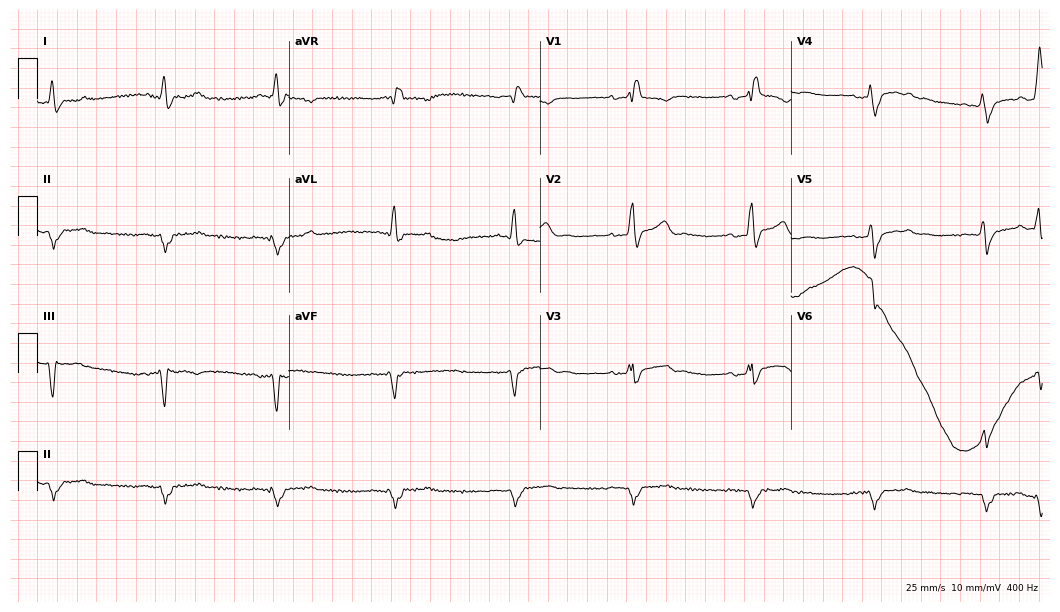
Electrocardiogram, a 75-year-old man. Interpretation includes right bundle branch block (RBBB).